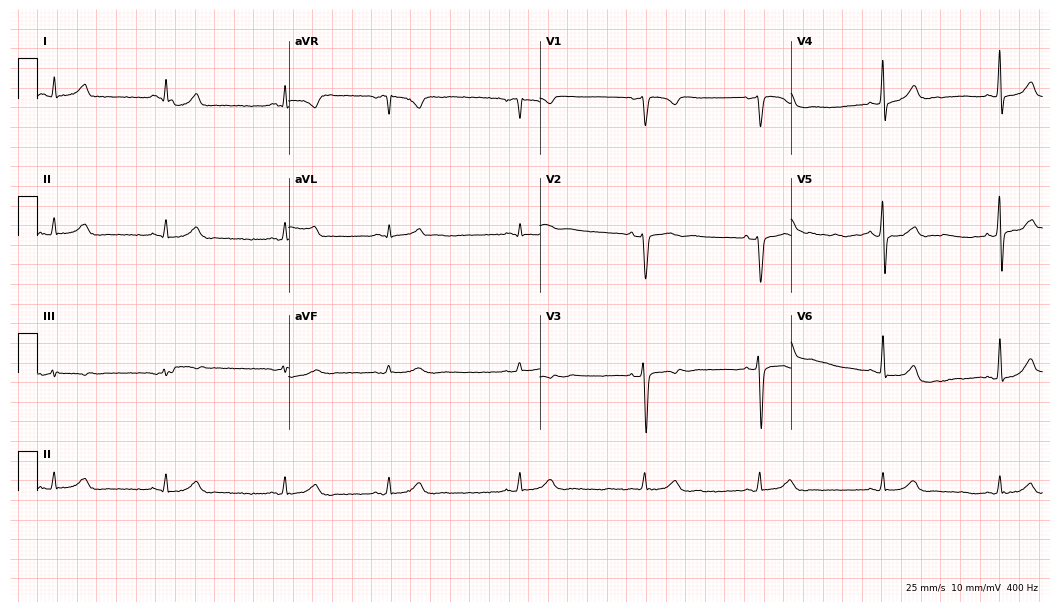
Standard 12-lead ECG recorded from a 36-year-old man. None of these six findings is recorded: first-degree AV block, right bundle branch block, left bundle branch block, sinus bradycardia, atrial fibrillation, sinus tachycardia. Findings outside these six are not listed.